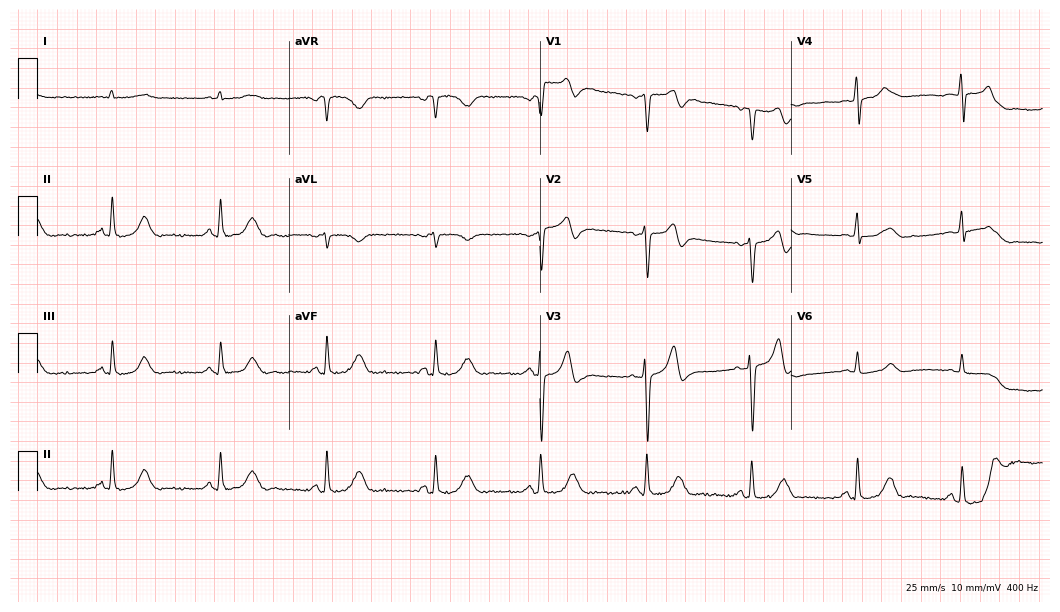
Resting 12-lead electrocardiogram. Patient: a 73-year-old man. Read as a normal ECG.